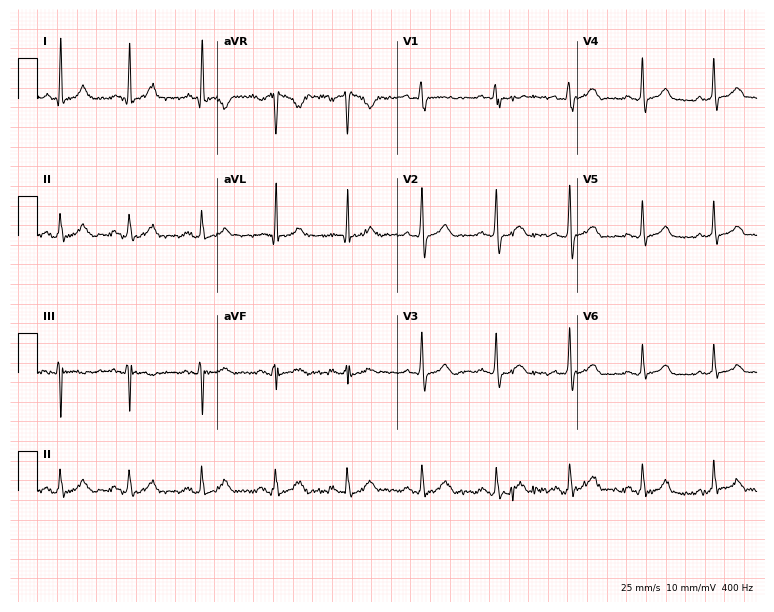
12-lead ECG from a man, 38 years old. Labelled as a normal ECG.